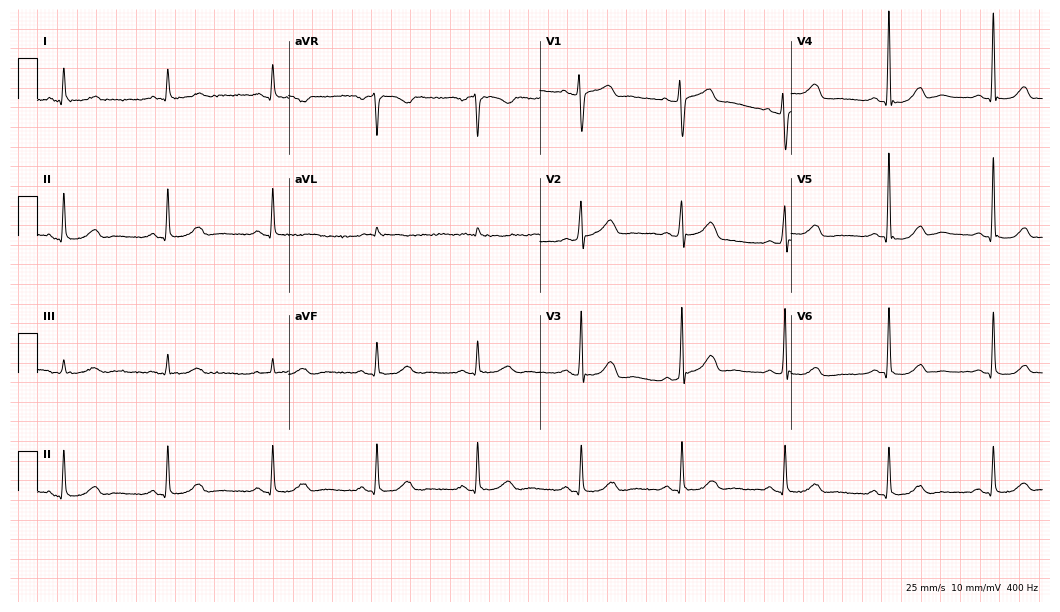
Electrocardiogram (10.2-second recording at 400 Hz), a 62-year-old woman. Overall reading on record: normal ECG.